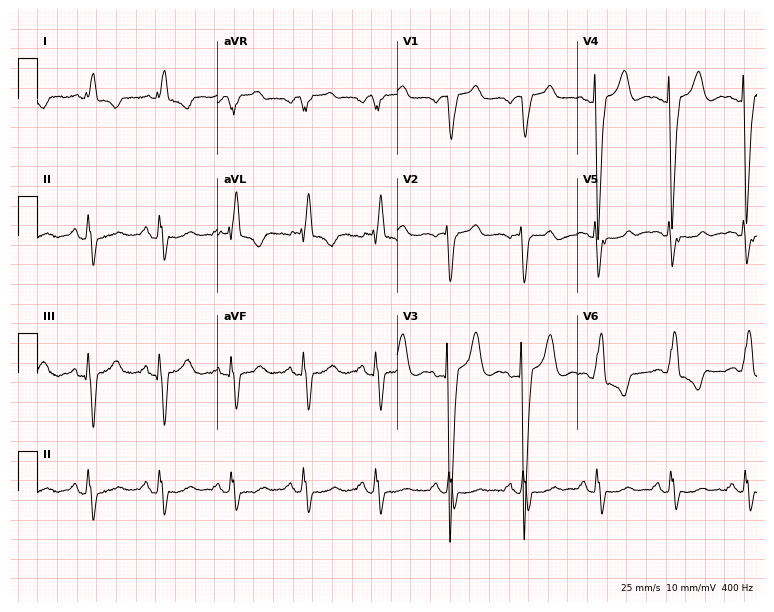
Electrocardiogram, a female patient, 83 years old. Interpretation includes left bundle branch block.